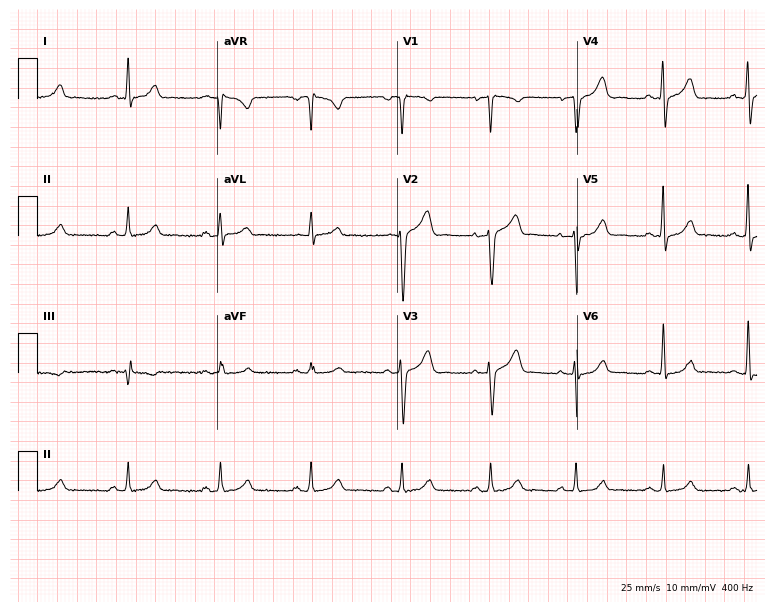
Resting 12-lead electrocardiogram (7.3-second recording at 400 Hz). Patient: a 58-year-old man. Read as a normal ECG.